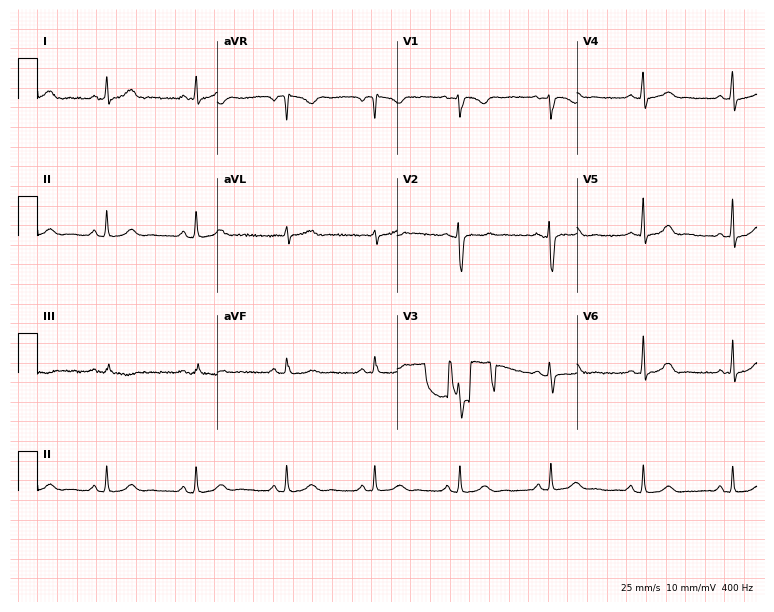
12-lead ECG from a female, 31 years old. Recorded interpretation: within normal limits.